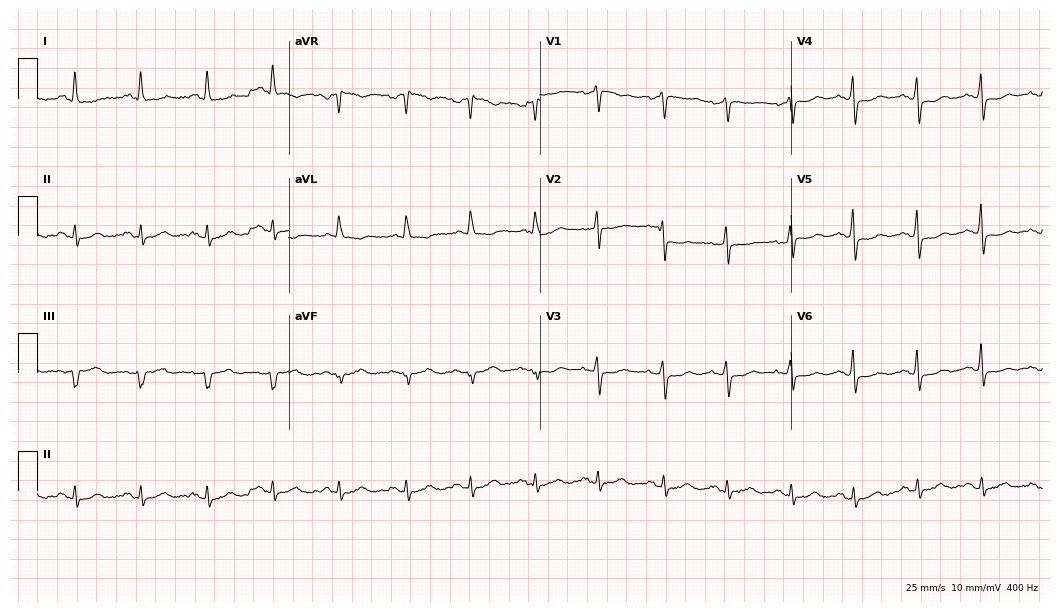
Standard 12-lead ECG recorded from a 66-year-old woman (10.2-second recording at 400 Hz). None of these six findings is recorded: first-degree AV block, right bundle branch block, left bundle branch block, sinus bradycardia, atrial fibrillation, sinus tachycardia. Only these six findings were labelled.